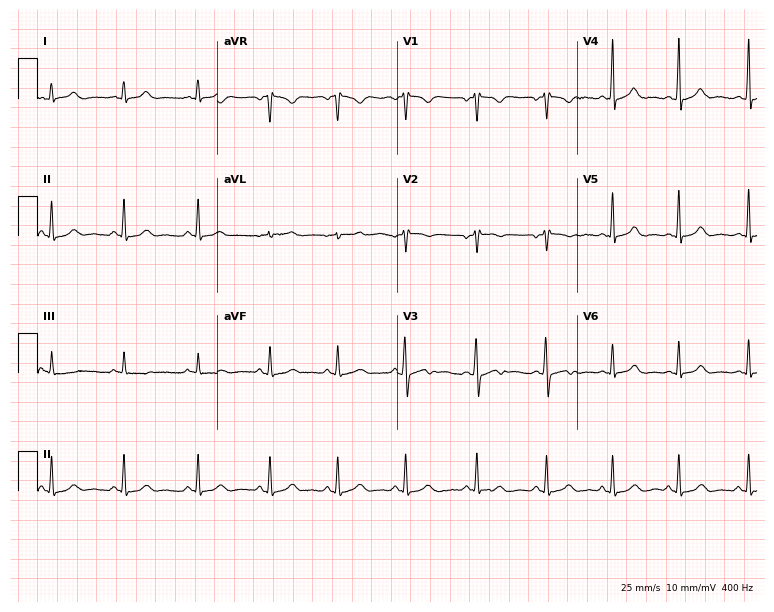
12-lead ECG from a 21-year-old female (7.3-second recording at 400 Hz). Recorded interpretation: within normal limits.